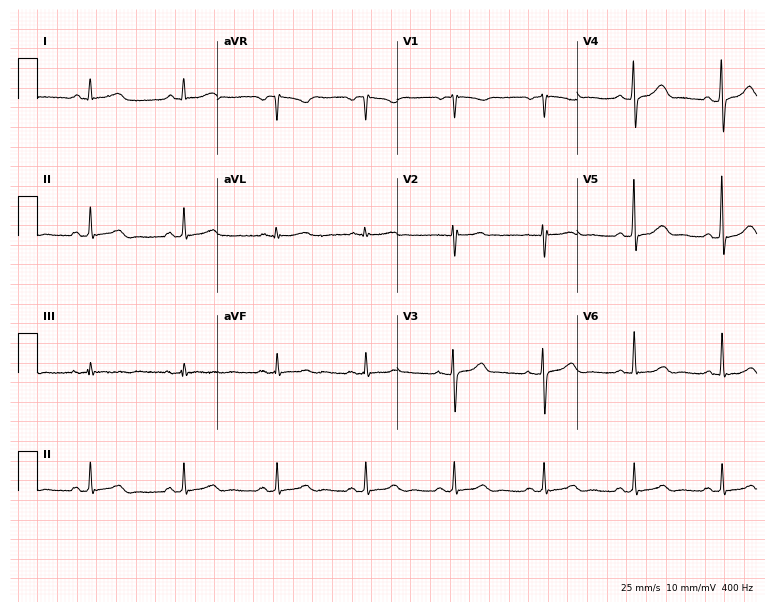
ECG — a 33-year-old woman. Screened for six findings — first-degree AV block, right bundle branch block (RBBB), left bundle branch block (LBBB), sinus bradycardia, atrial fibrillation (AF), sinus tachycardia — none is recorded.